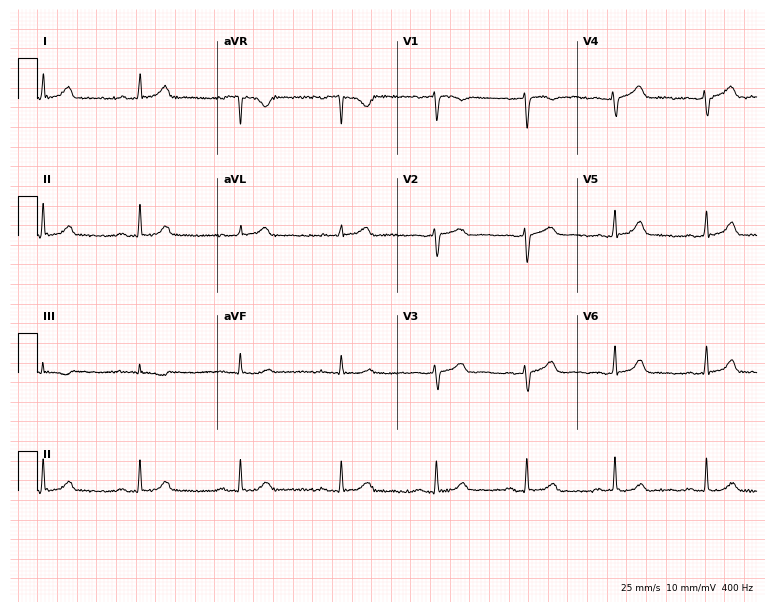
Resting 12-lead electrocardiogram. Patient: a 50-year-old female. None of these six findings is recorded: first-degree AV block, right bundle branch block, left bundle branch block, sinus bradycardia, atrial fibrillation, sinus tachycardia. Findings outside these six are not listed.